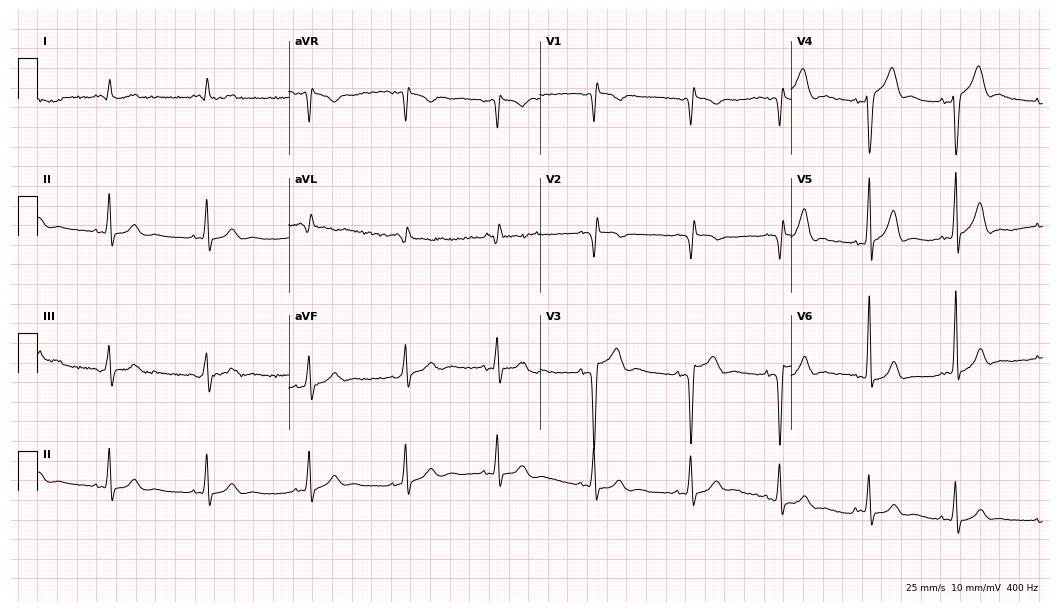
Electrocardiogram (10.2-second recording at 400 Hz), an 18-year-old male patient. Of the six screened findings (first-degree AV block, right bundle branch block, left bundle branch block, sinus bradycardia, atrial fibrillation, sinus tachycardia), none is recorded. Other findings, if any, are not listed.